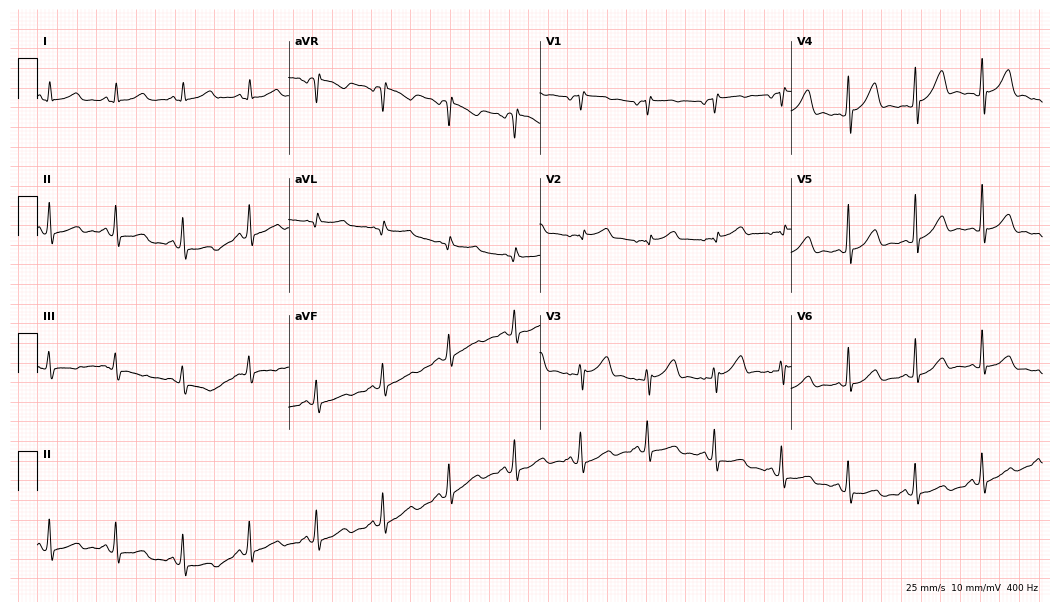
Standard 12-lead ECG recorded from a 70-year-old woman (10.2-second recording at 400 Hz). None of these six findings is recorded: first-degree AV block, right bundle branch block, left bundle branch block, sinus bradycardia, atrial fibrillation, sinus tachycardia.